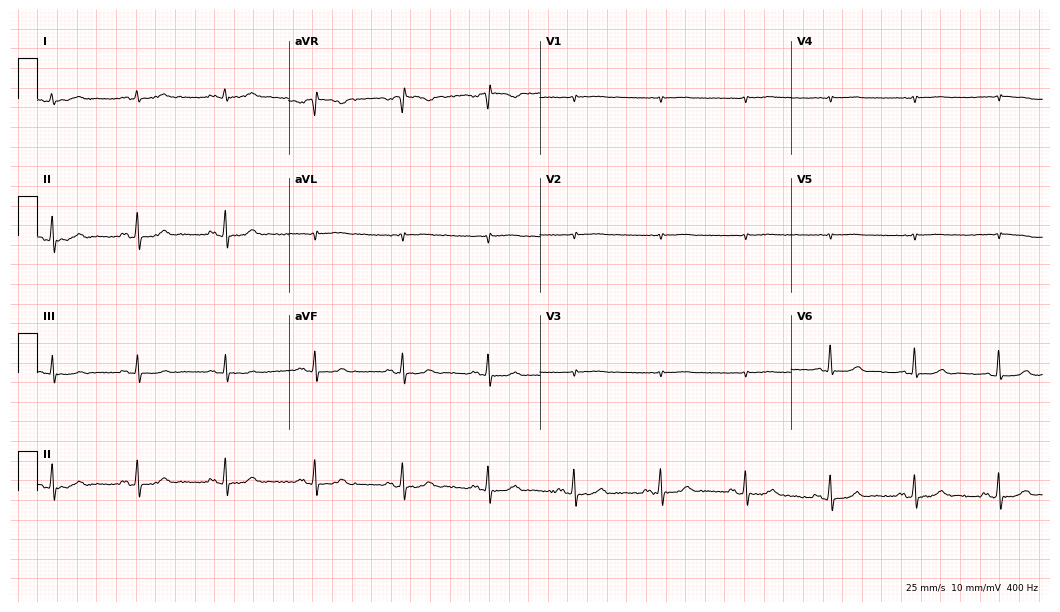
Resting 12-lead electrocardiogram. Patient: a 56-year-old female. None of these six findings is recorded: first-degree AV block, right bundle branch block, left bundle branch block, sinus bradycardia, atrial fibrillation, sinus tachycardia.